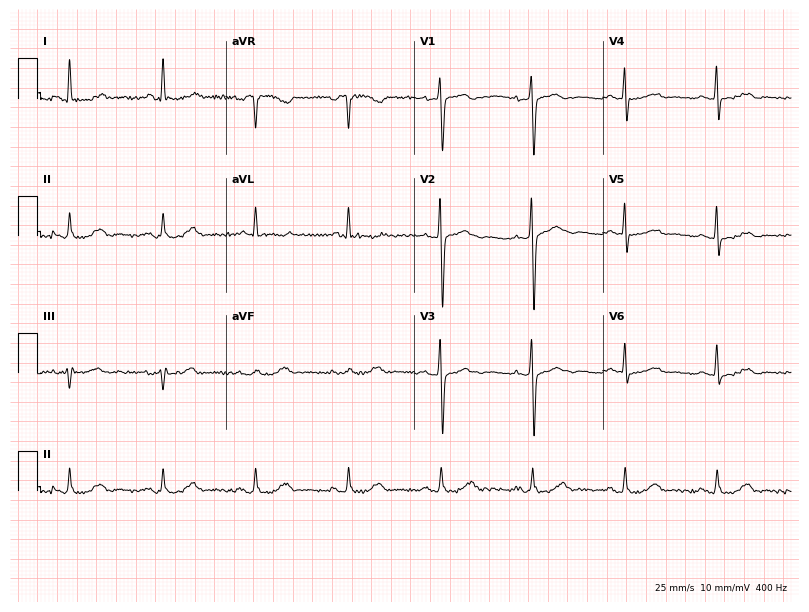
Standard 12-lead ECG recorded from a 72-year-old female. Read as a normal ECG.